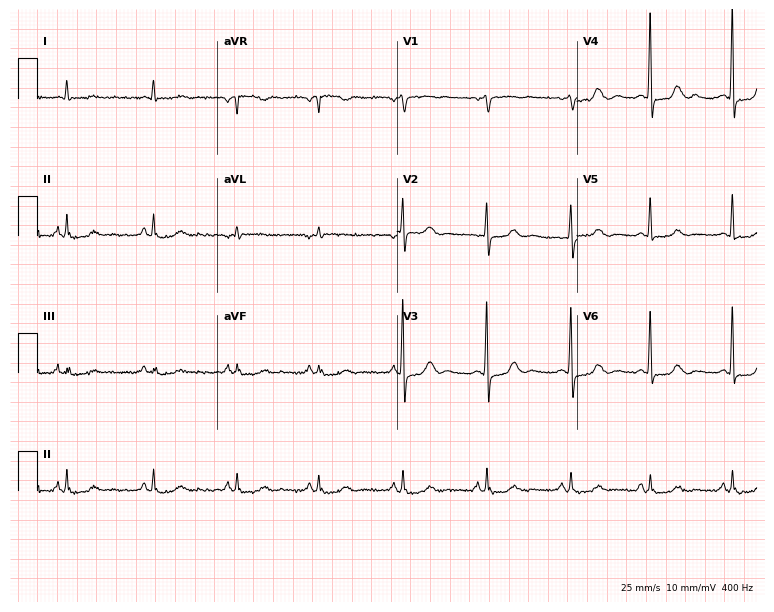
Resting 12-lead electrocardiogram (7.3-second recording at 400 Hz). Patient: a 66-year-old female. Read as a normal ECG.